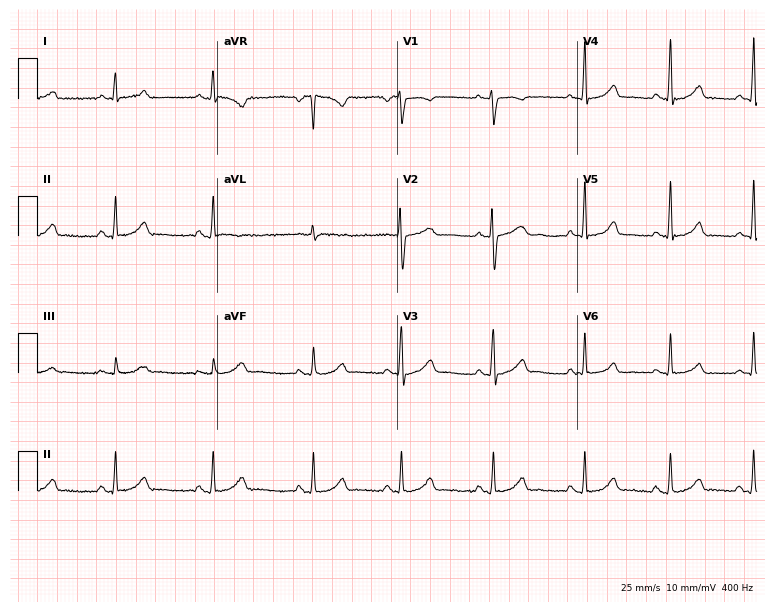
12-lead ECG (7.3-second recording at 400 Hz) from a 34-year-old woman. Screened for six findings — first-degree AV block, right bundle branch block, left bundle branch block, sinus bradycardia, atrial fibrillation, sinus tachycardia — none is recorded.